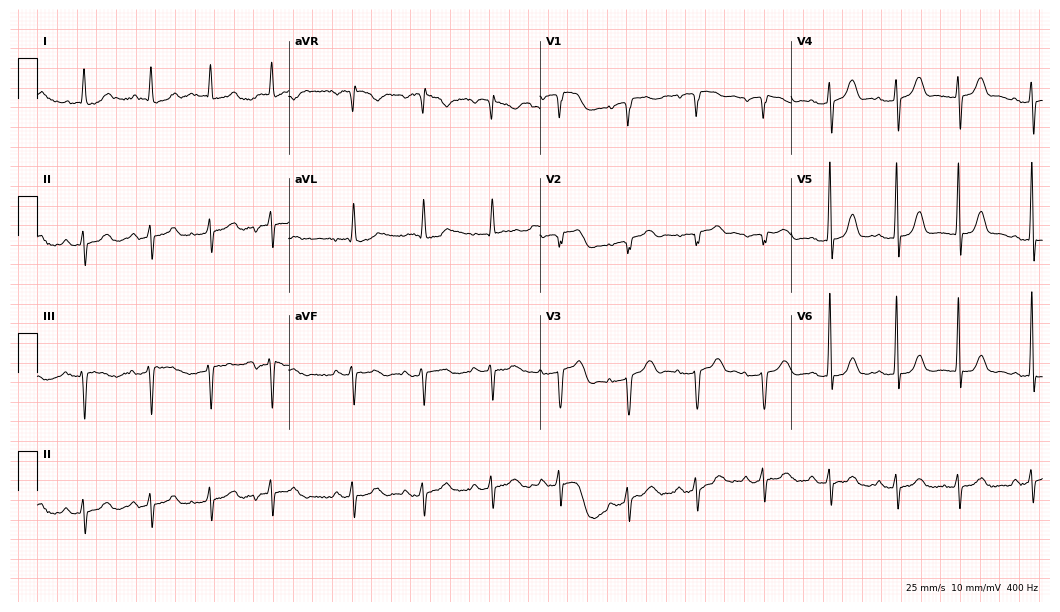
Standard 12-lead ECG recorded from a man, 83 years old (10.2-second recording at 400 Hz). None of these six findings is recorded: first-degree AV block, right bundle branch block, left bundle branch block, sinus bradycardia, atrial fibrillation, sinus tachycardia. Findings outside these six are not listed.